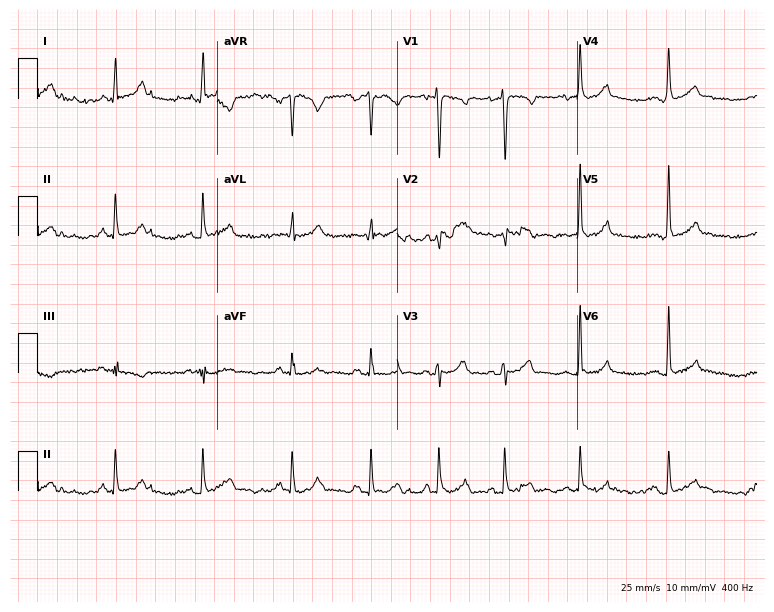
12-lead ECG from a man, 26 years old. Recorded interpretation: within normal limits.